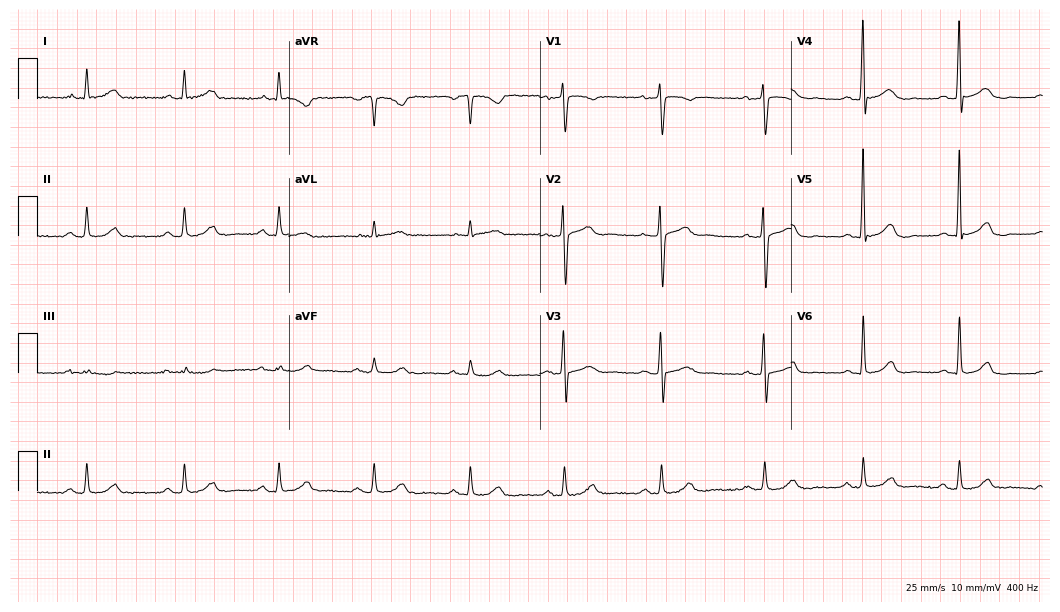
12-lead ECG from a woman, 63 years old. Screened for six findings — first-degree AV block, right bundle branch block, left bundle branch block, sinus bradycardia, atrial fibrillation, sinus tachycardia — none is recorded. Other findings, if any, are not listed.